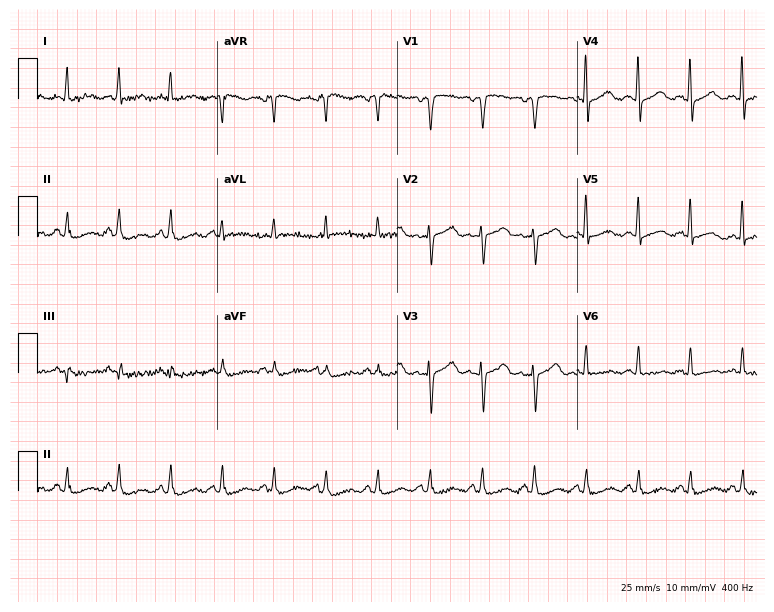
Resting 12-lead electrocardiogram. Patient: a female, 71 years old. The tracing shows sinus tachycardia (a sinus rate of 100 beats per minute or more).